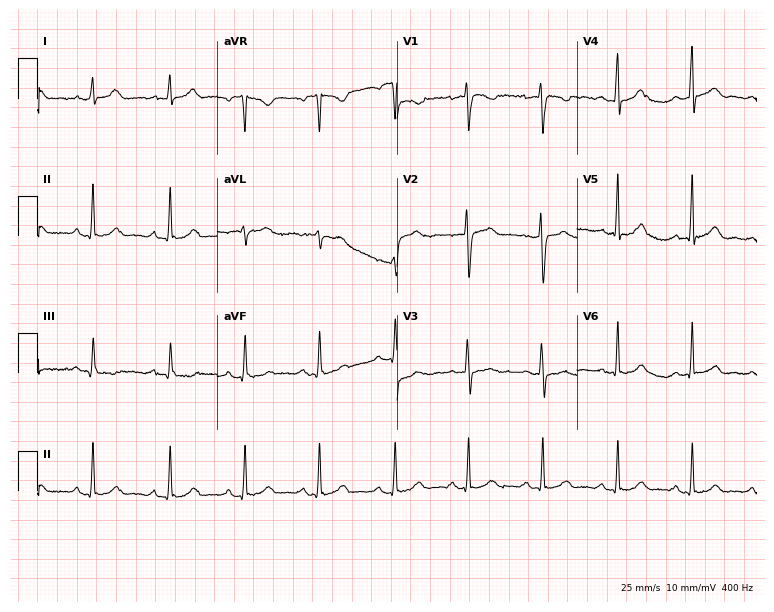
ECG — a 29-year-old female. Labelled as a normal ECG.